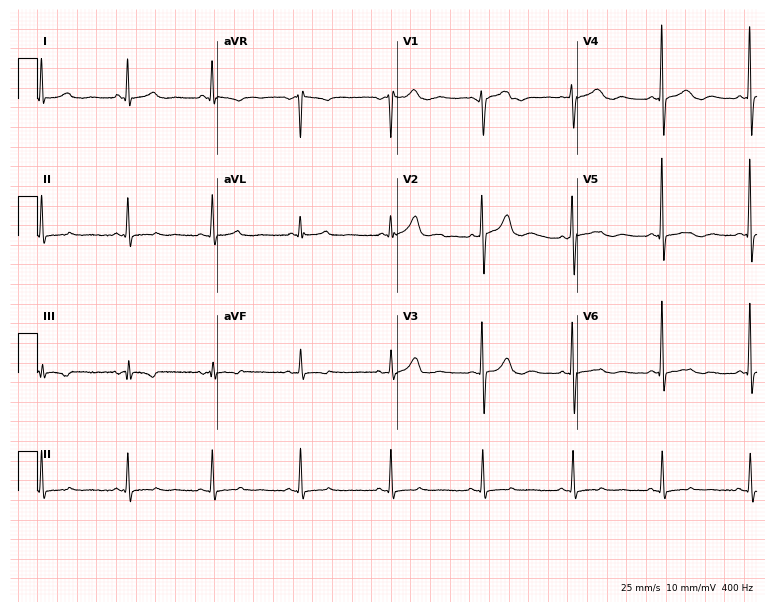
Electrocardiogram (7.3-second recording at 400 Hz), a female, 65 years old. Of the six screened findings (first-degree AV block, right bundle branch block (RBBB), left bundle branch block (LBBB), sinus bradycardia, atrial fibrillation (AF), sinus tachycardia), none is recorded.